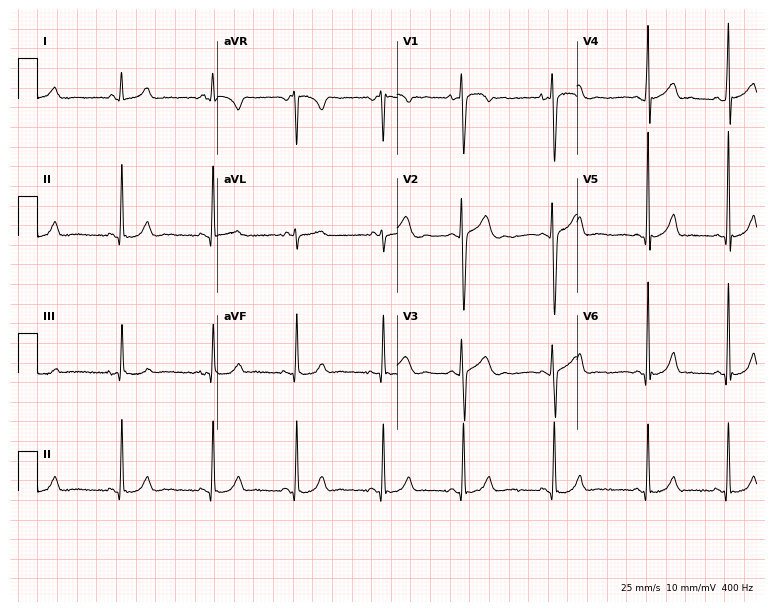
Resting 12-lead electrocardiogram. Patient: a male, 17 years old. Read as a normal ECG.